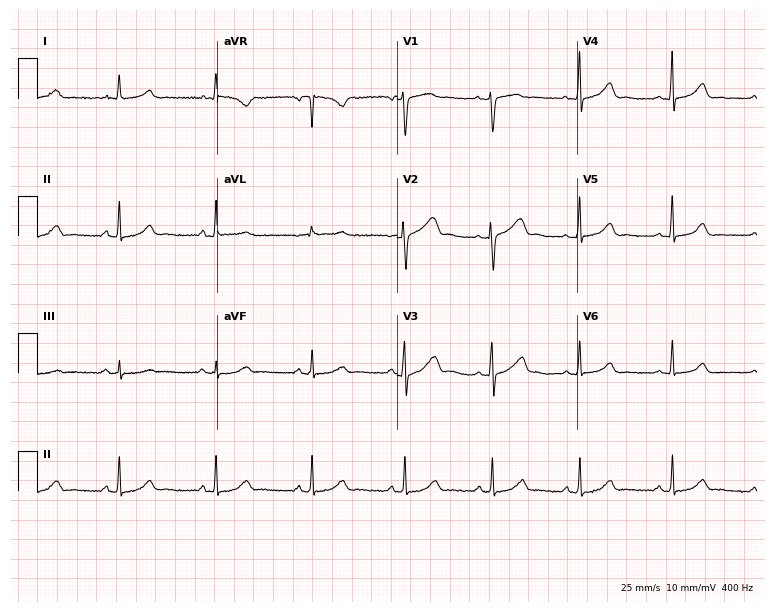
12-lead ECG from a woman, 42 years old (7.3-second recording at 400 Hz). Recorded interpretation: within normal limits.